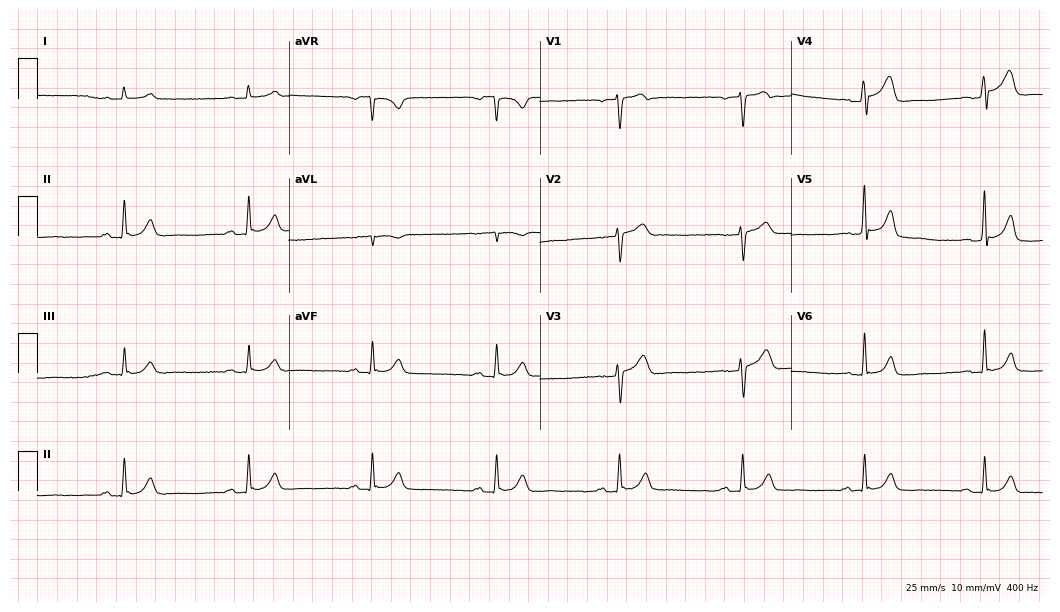
Electrocardiogram (10.2-second recording at 400 Hz), a 64-year-old male. Overall reading on record: normal ECG.